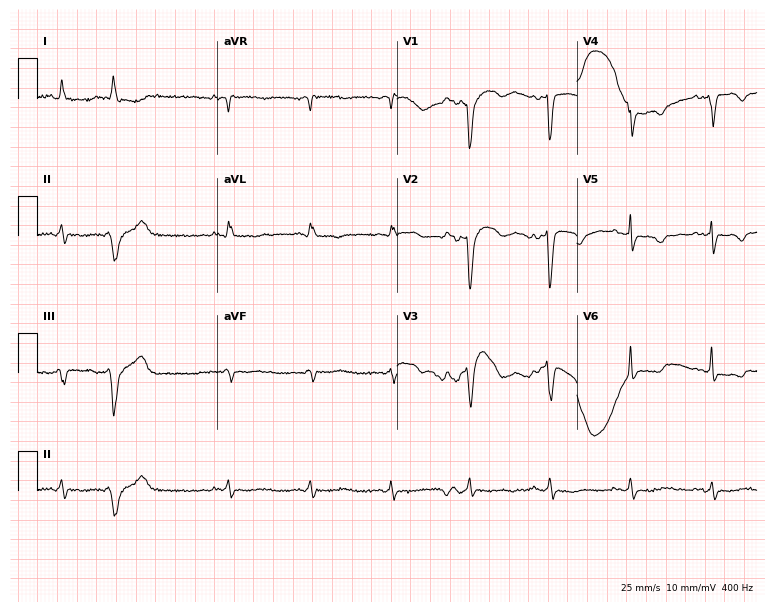
Resting 12-lead electrocardiogram. Patient: a male, 78 years old. None of these six findings is recorded: first-degree AV block, right bundle branch block, left bundle branch block, sinus bradycardia, atrial fibrillation, sinus tachycardia.